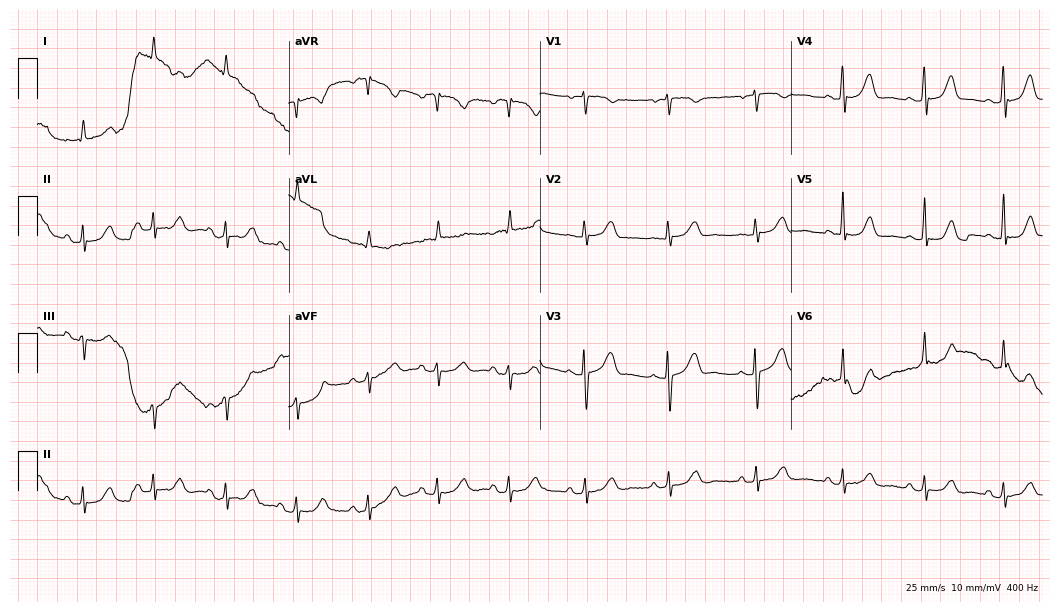
12-lead ECG from a 63-year-old female patient. No first-degree AV block, right bundle branch block, left bundle branch block, sinus bradycardia, atrial fibrillation or sinus tachycardia recorded for this tracing. Only these six findings were labelled.